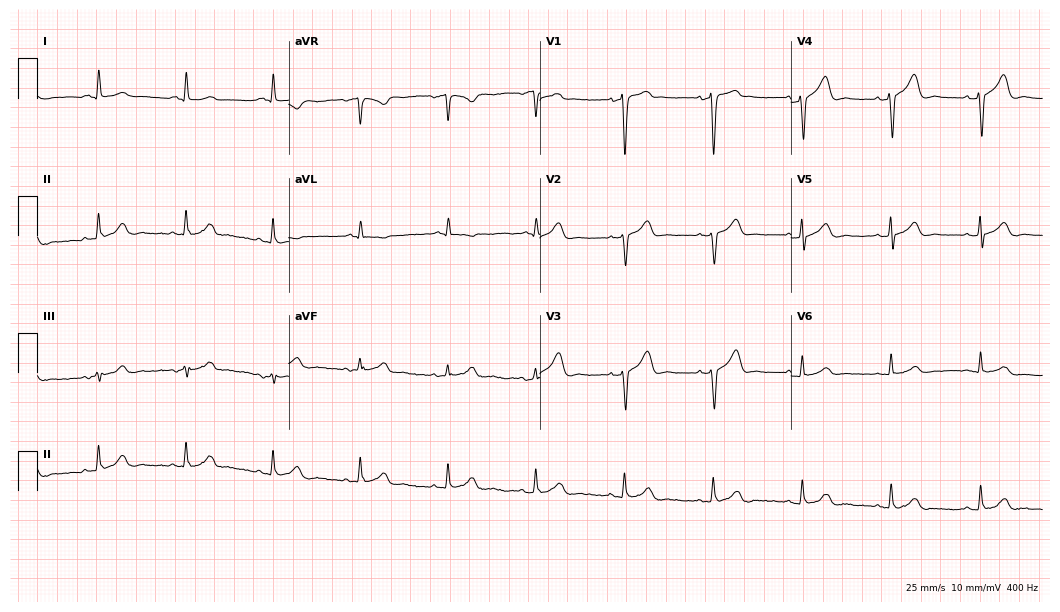
Electrocardiogram (10.2-second recording at 400 Hz), a 71-year-old male. Overall reading on record: normal ECG.